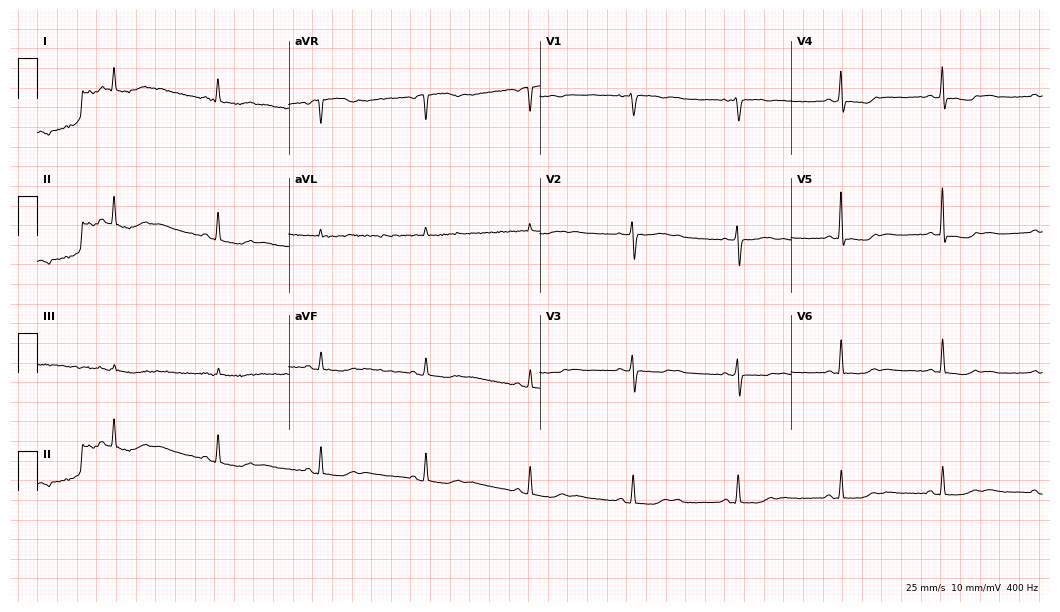
Electrocardiogram, a 57-year-old female patient. Of the six screened findings (first-degree AV block, right bundle branch block, left bundle branch block, sinus bradycardia, atrial fibrillation, sinus tachycardia), none is recorded. Findings outside these six are not listed.